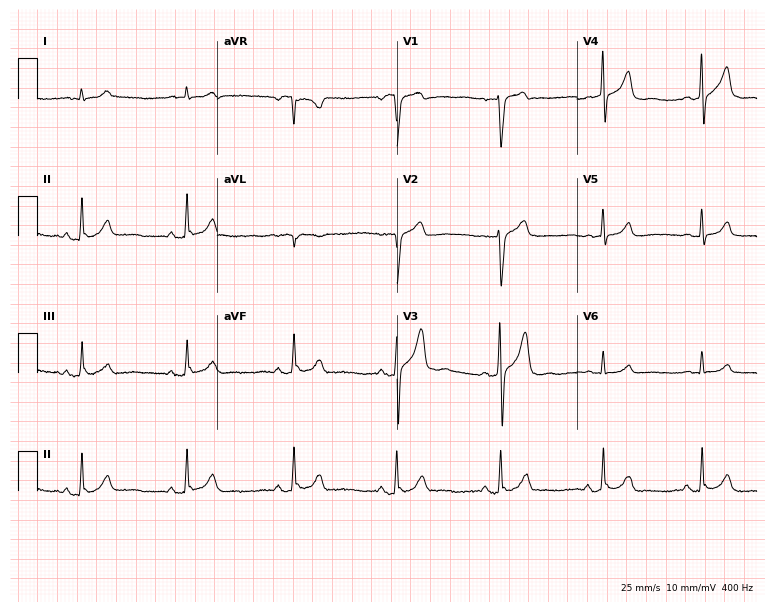
Standard 12-lead ECG recorded from a 42-year-old male (7.3-second recording at 400 Hz). Read as a normal ECG.